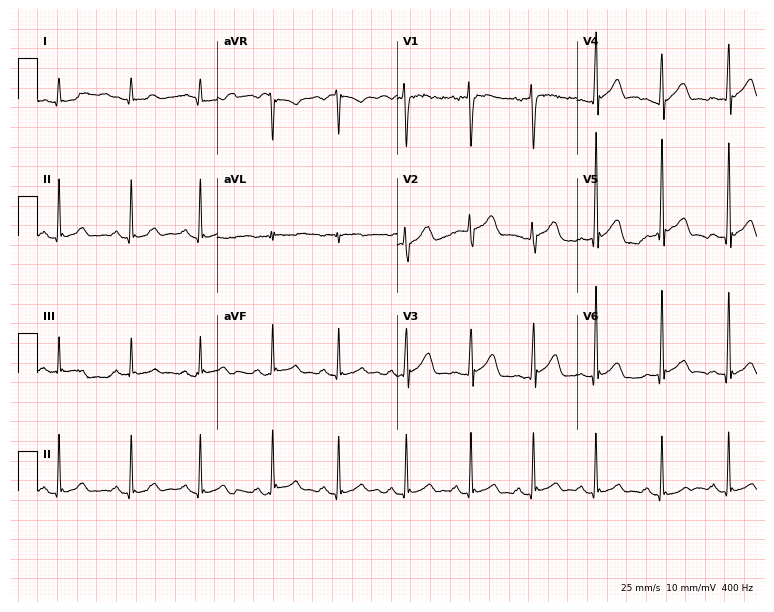
ECG — a male, 21 years old. Screened for six findings — first-degree AV block, right bundle branch block, left bundle branch block, sinus bradycardia, atrial fibrillation, sinus tachycardia — none is recorded. Other findings, if any, are not listed.